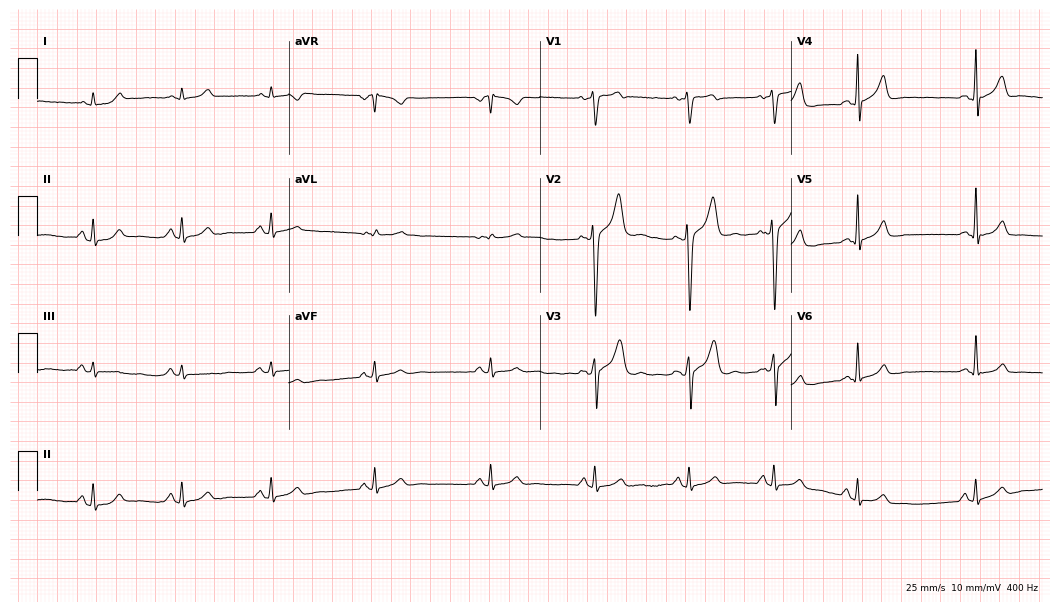
ECG (10.2-second recording at 400 Hz) — a 24-year-old man. Labelled as a normal ECG.